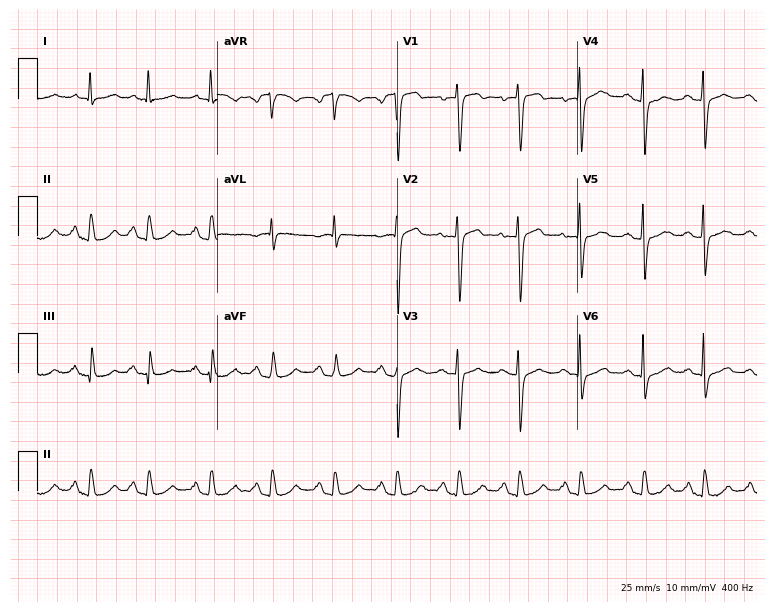
12-lead ECG from a 78-year-old female. Labelled as a normal ECG.